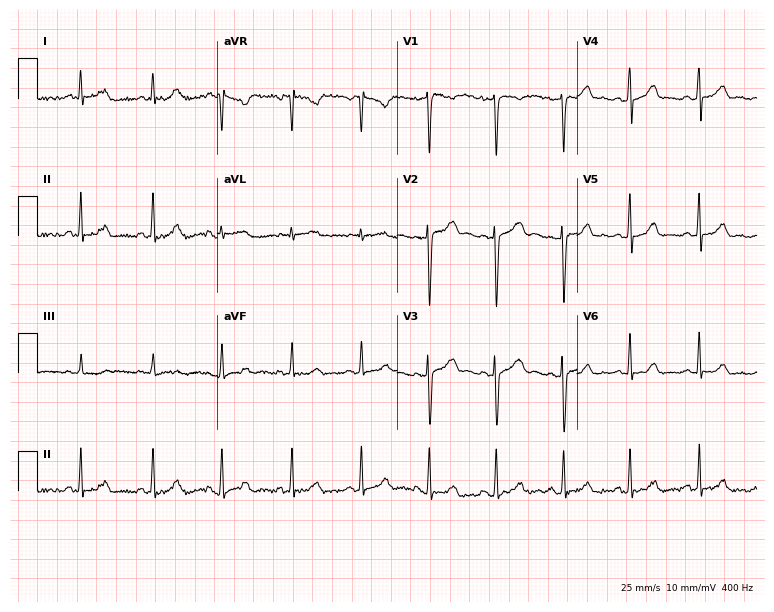
Standard 12-lead ECG recorded from a 28-year-old female patient (7.3-second recording at 400 Hz). Read as a normal ECG.